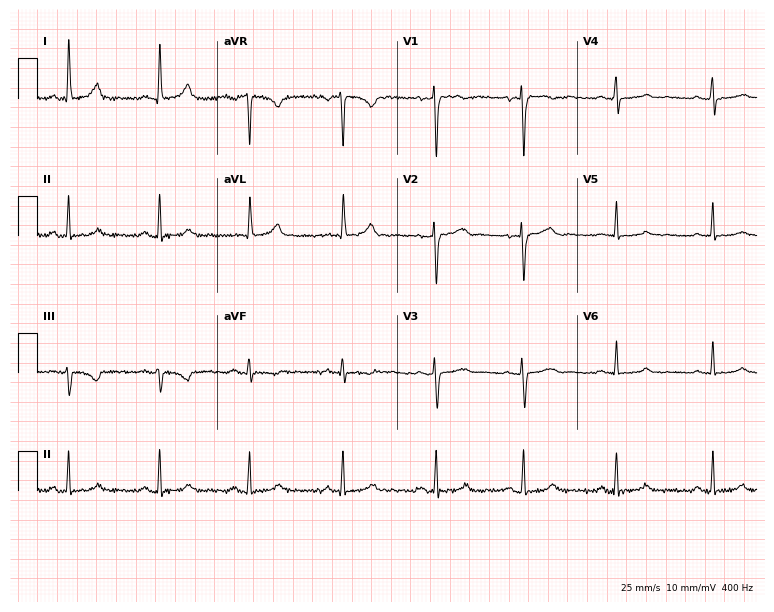
ECG (7.3-second recording at 400 Hz) — a female, 39 years old. Labelled as a normal ECG.